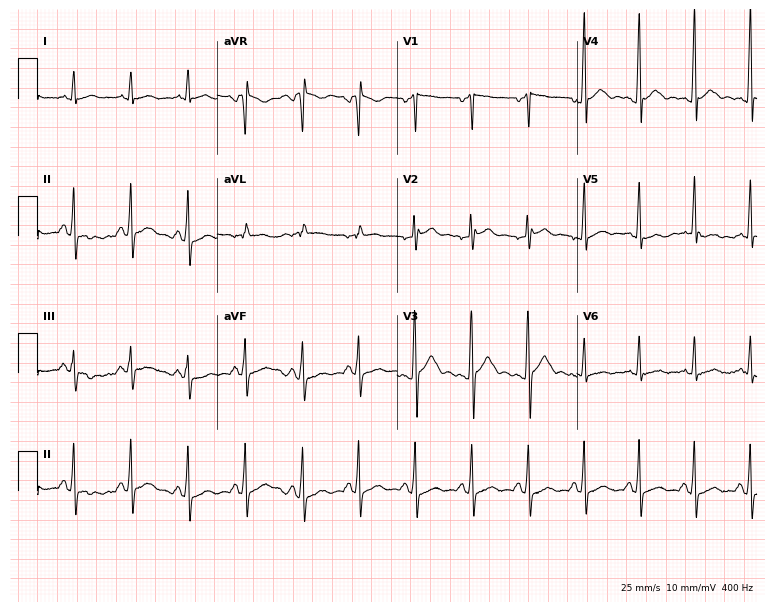
Resting 12-lead electrocardiogram. Patient: a 33-year-old male. None of these six findings is recorded: first-degree AV block, right bundle branch block, left bundle branch block, sinus bradycardia, atrial fibrillation, sinus tachycardia. Findings outside these six are not listed.